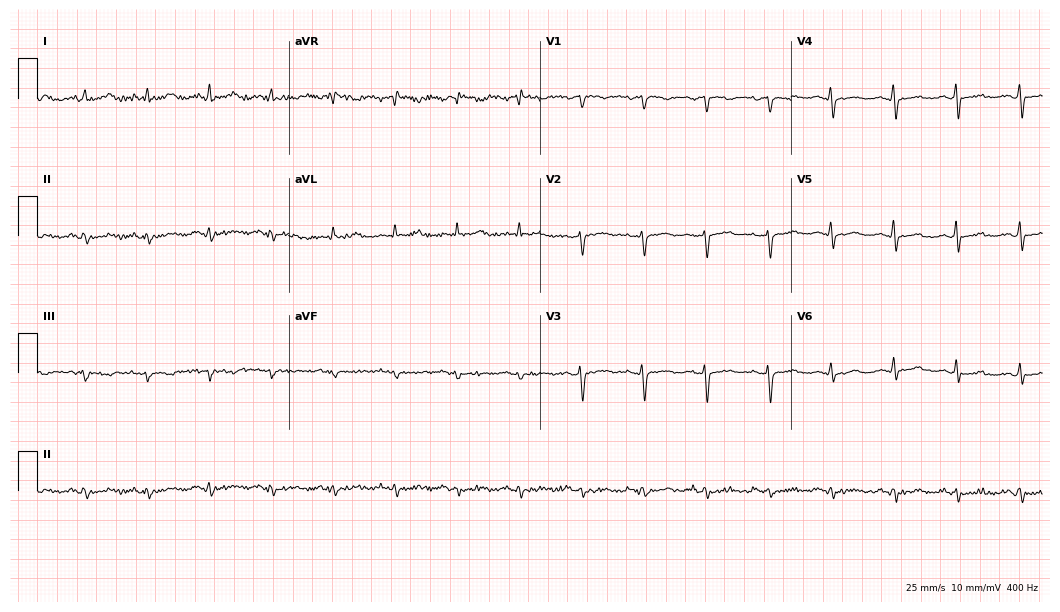
Resting 12-lead electrocardiogram (10.2-second recording at 400 Hz). Patient: a woman, 60 years old. None of these six findings is recorded: first-degree AV block, right bundle branch block, left bundle branch block, sinus bradycardia, atrial fibrillation, sinus tachycardia.